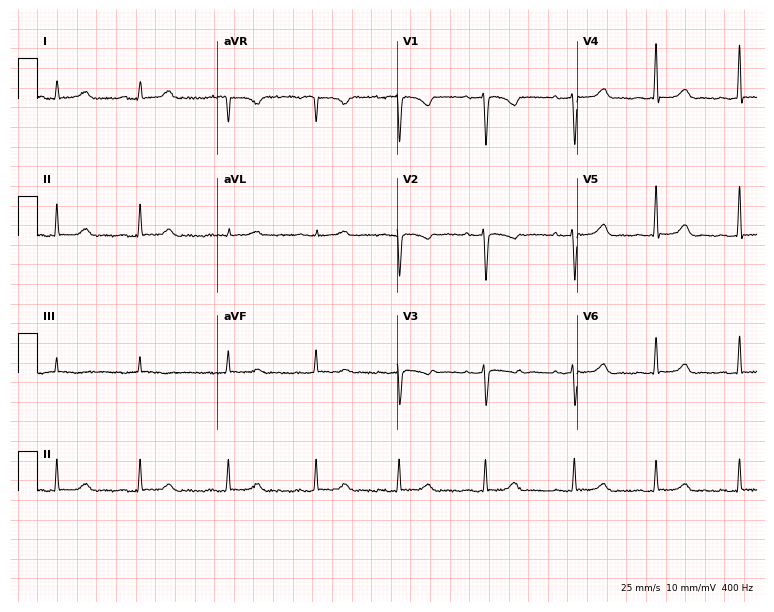
Resting 12-lead electrocardiogram. Patient: a 22-year-old woman. Read as a normal ECG.